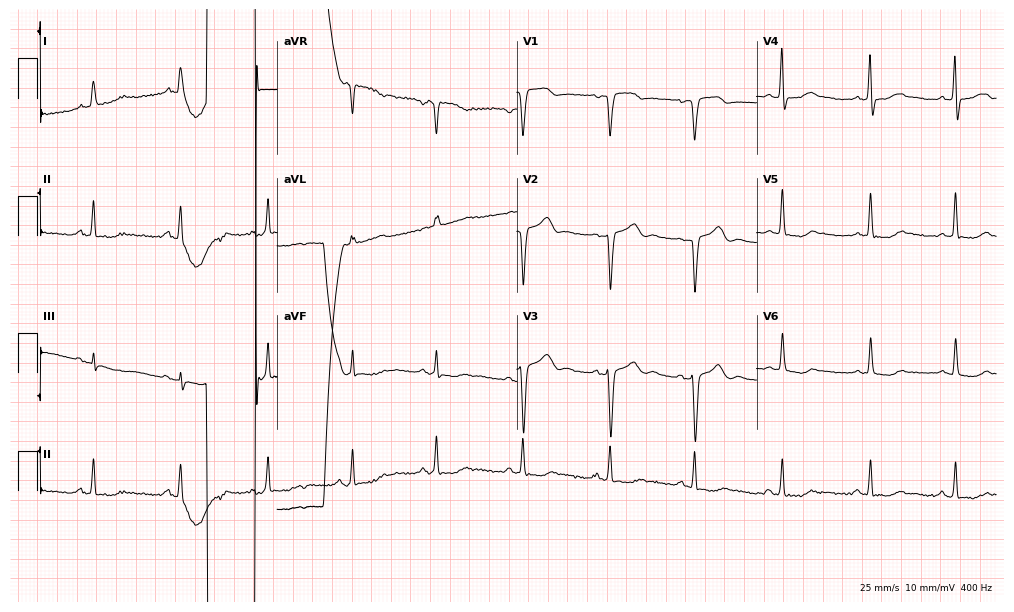
Standard 12-lead ECG recorded from a woman, 61 years old (9.8-second recording at 400 Hz). None of these six findings is recorded: first-degree AV block, right bundle branch block, left bundle branch block, sinus bradycardia, atrial fibrillation, sinus tachycardia. Findings outside these six are not listed.